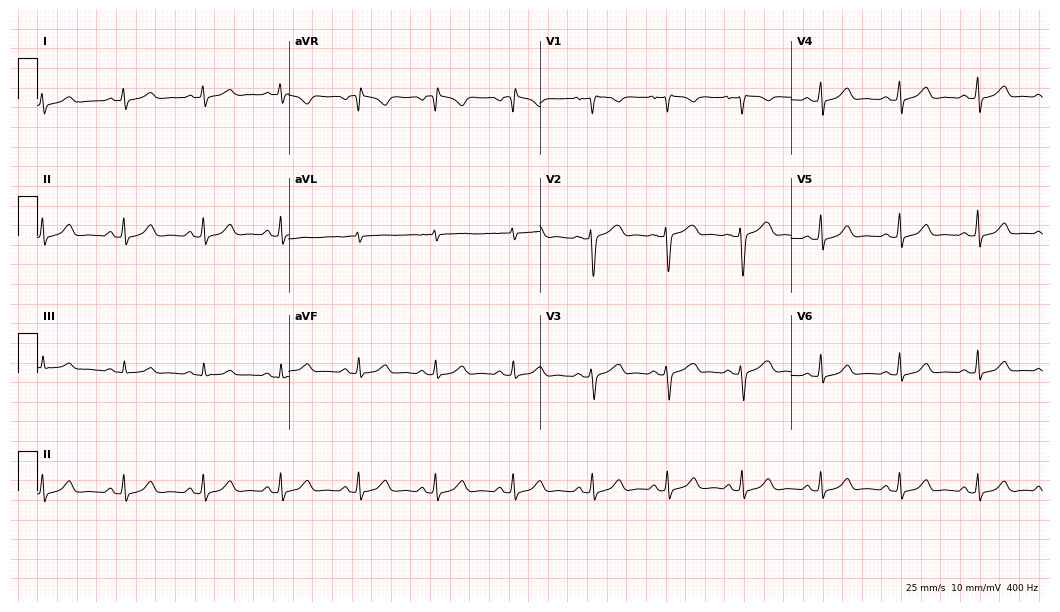
Resting 12-lead electrocardiogram (10.2-second recording at 400 Hz). Patient: a 48-year-old female. Read as a normal ECG.